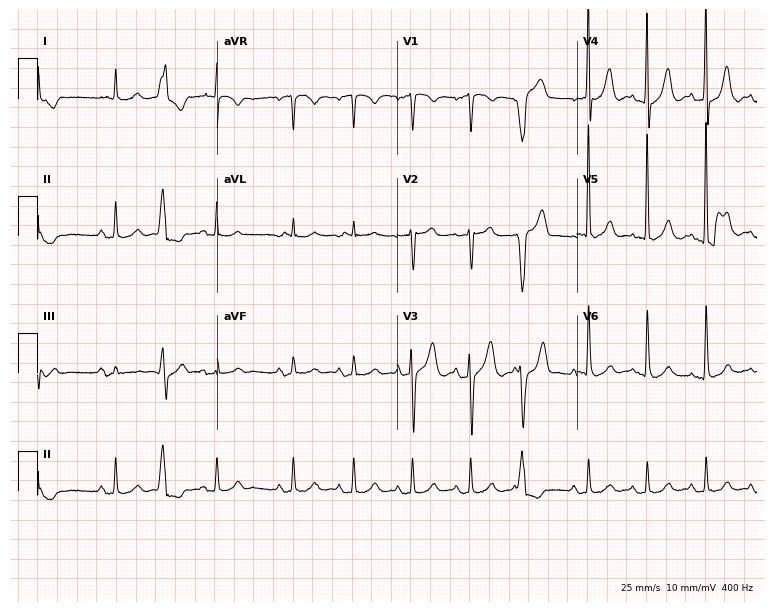
Electrocardiogram (7.3-second recording at 400 Hz), a 78-year-old male. Of the six screened findings (first-degree AV block, right bundle branch block (RBBB), left bundle branch block (LBBB), sinus bradycardia, atrial fibrillation (AF), sinus tachycardia), none is recorded.